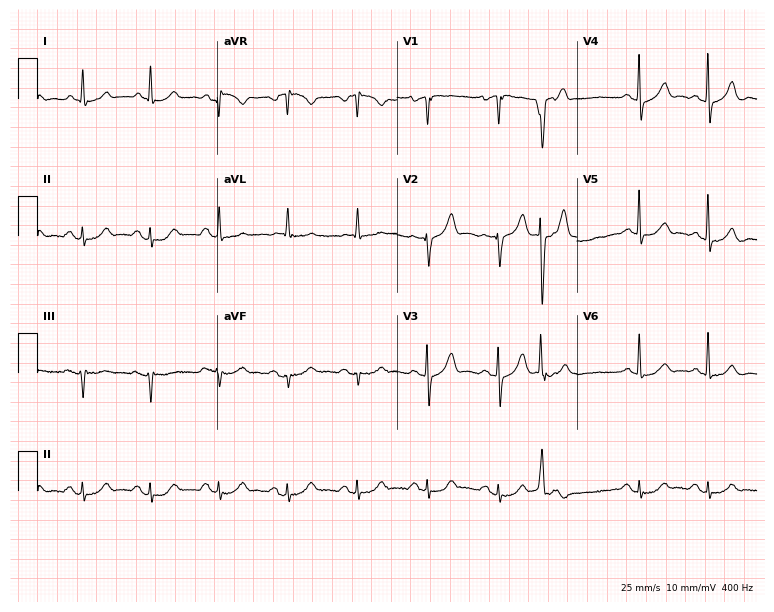
Resting 12-lead electrocardiogram. Patient: a male, 80 years old. Read as a normal ECG.